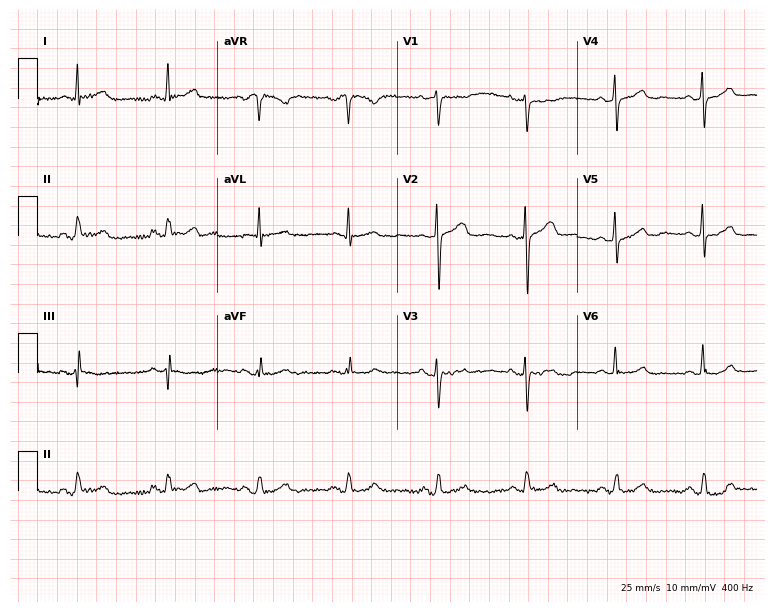
Resting 12-lead electrocardiogram. Patient: a 63-year-old woman. Read as a normal ECG.